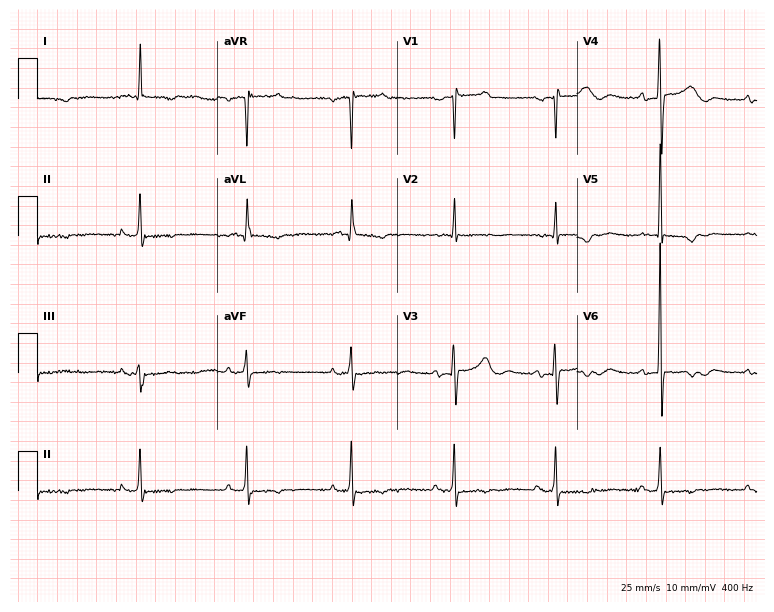
Electrocardiogram, a man, 61 years old. Of the six screened findings (first-degree AV block, right bundle branch block (RBBB), left bundle branch block (LBBB), sinus bradycardia, atrial fibrillation (AF), sinus tachycardia), none is recorded. Only these six findings were labelled.